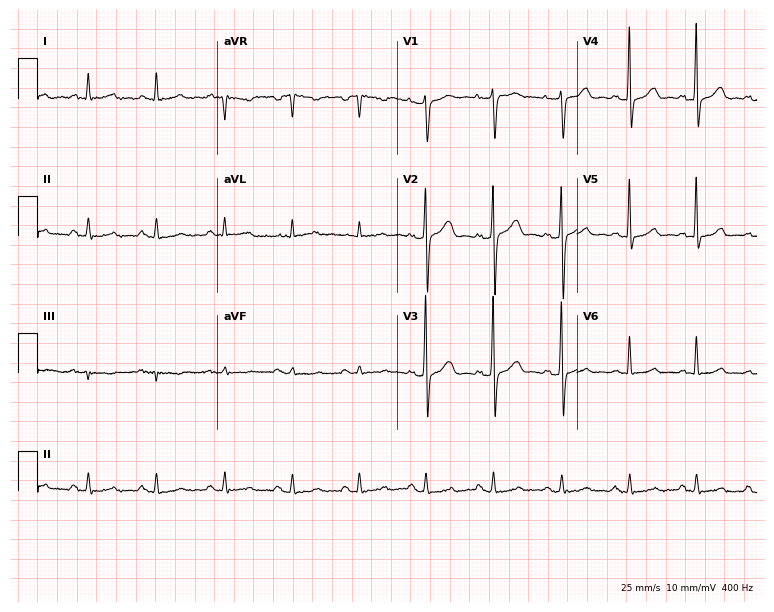
Electrocardiogram, a man, 75 years old. Of the six screened findings (first-degree AV block, right bundle branch block (RBBB), left bundle branch block (LBBB), sinus bradycardia, atrial fibrillation (AF), sinus tachycardia), none is recorded. Only these six findings were labelled.